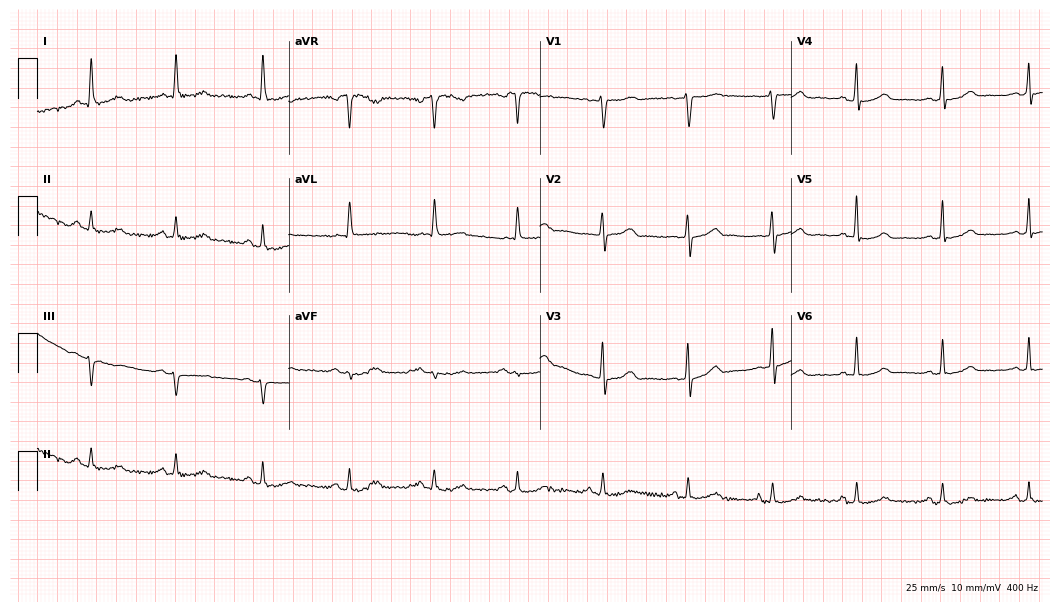
12-lead ECG (10.2-second recording at 400 Hz) from a 49-year-old woman. Screened for six findings — first-degree AV block, right bundle branch block, left bundle branch block, sinus bradycardia, atrial fibrillation, sinus tachycardia — none is recorded.